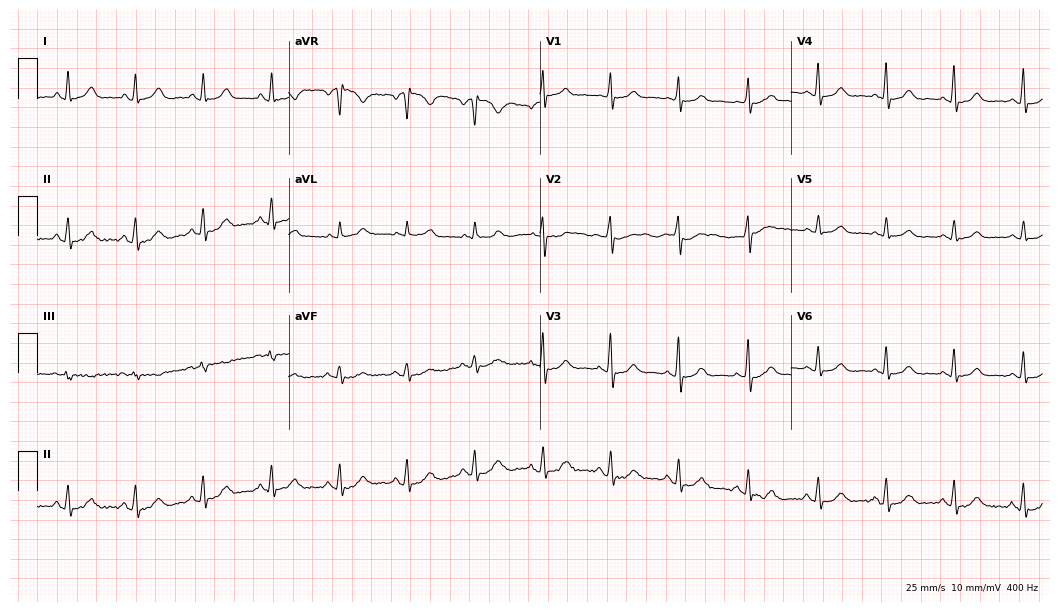
ECG (10.2-second recording at 400 Hz) — a woman, 27 years old. Screened for six findings — first-degree AV block, right bundle branch block, left bundle branch block, sinus bradycardia, atrial fibrillation, sinus tachycardia — none is recorded. Findings outside these six are not listed.